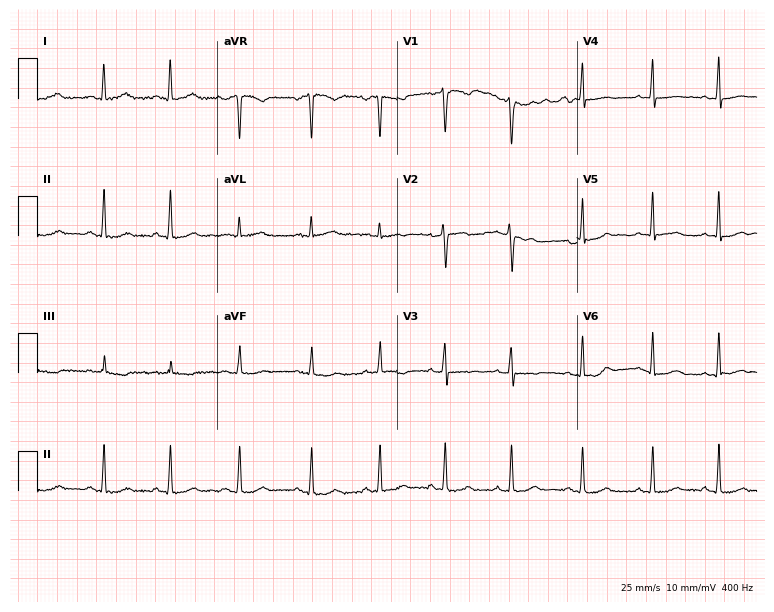
12-lead ECG from a 22-year-old female. Screened for six findings — first-degree AV block, right bundle branch block (RBBB), left bundle branch block (LBBB), sinus bradycardia, atrial fibrillation (AF), sinus tachycardia — none is recorded. Only these six findings were labelled.